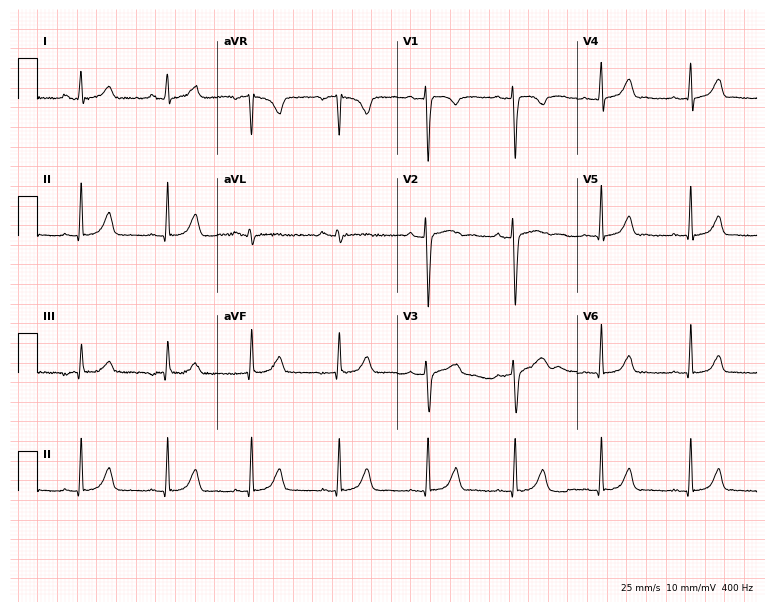
Electrocardiogram, a female patient, 35 years old. Of the six screened findings (first-degree AV block, right bundle branch block, left bundle branch block, sinus bradycardia, atrial fibrillation, sinus tachycardia), none is recorded. Only these six findings were labelled.